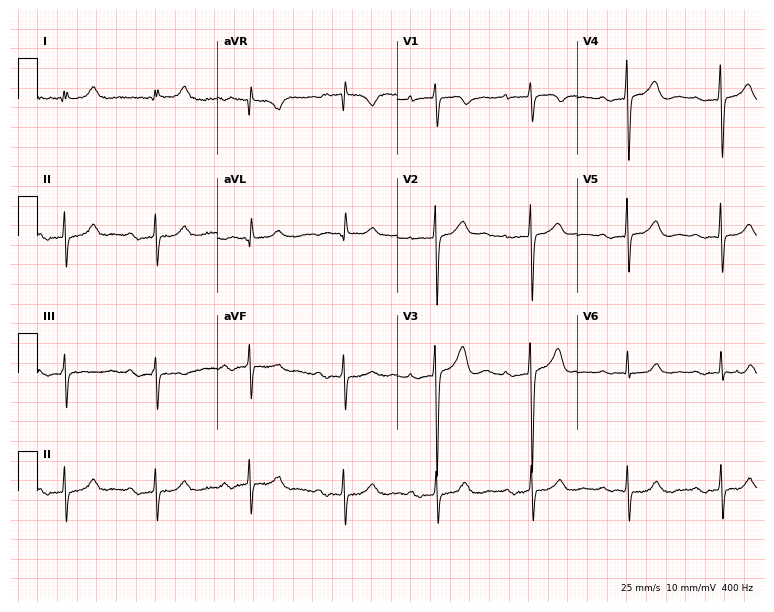
ECG — a female, 77 years old. Findings include first-degree AV block.